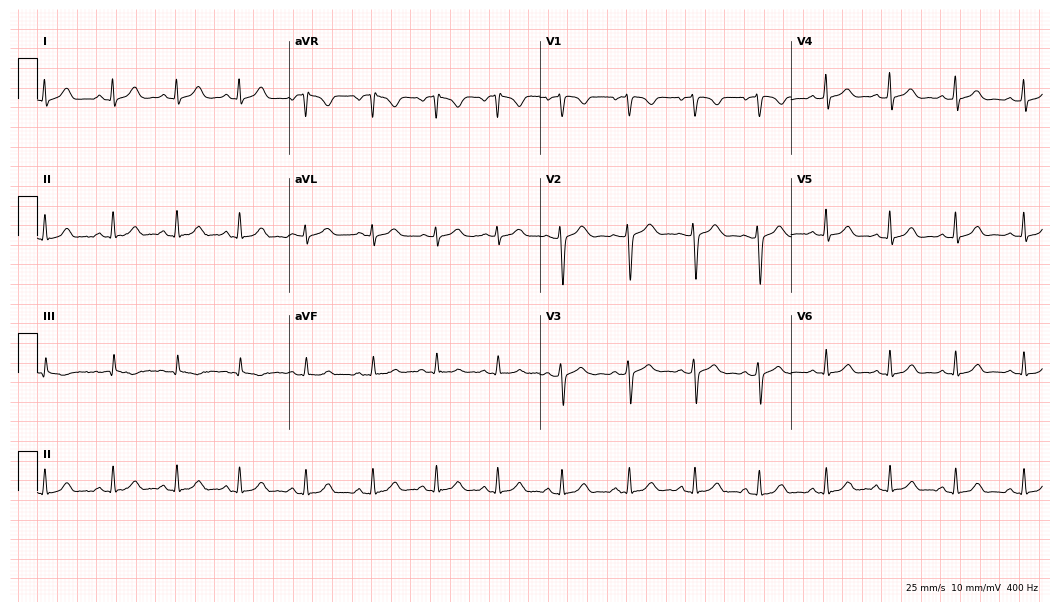
Electrocardiogram (10.2-second recording at 400 Hz), a woman, 19 years old. Overall reading on record: normal ECG.